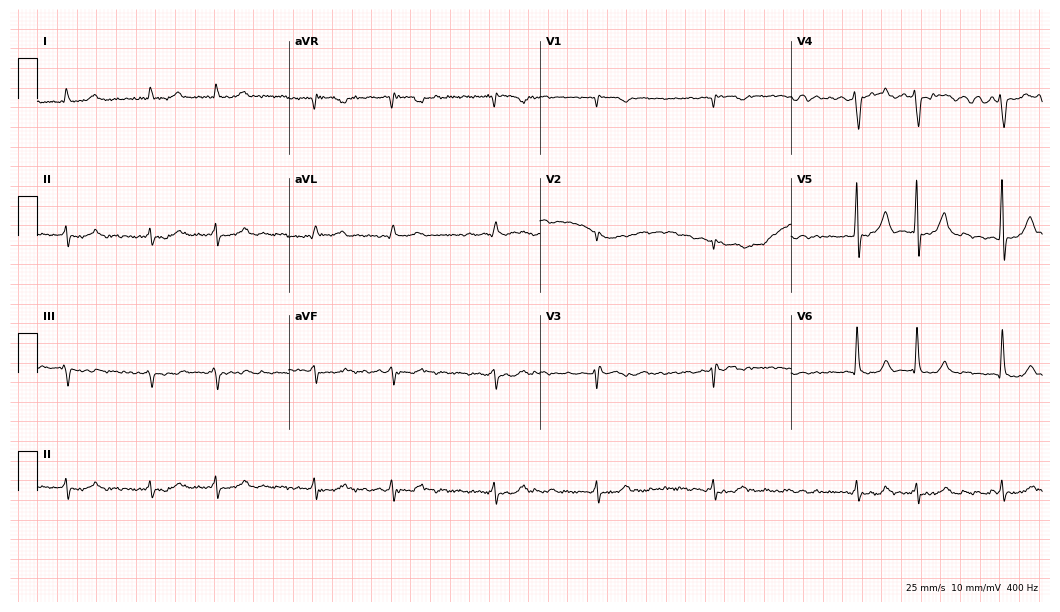
Electrocardiogram (10.2-second recording at 400 Hz), a 71-year-old man. Interpretation includes atrial fibrillation.